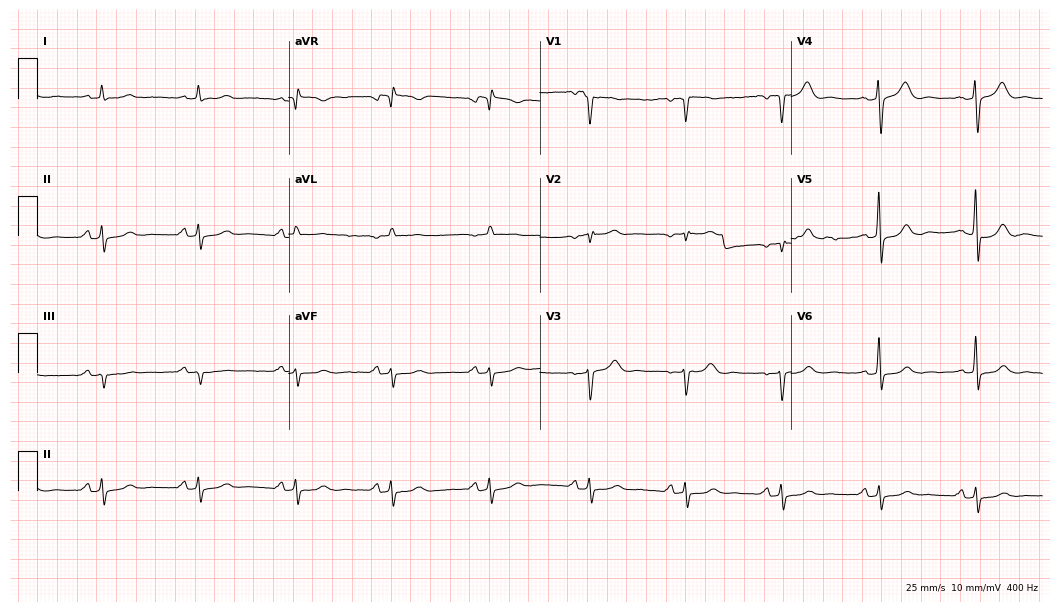
Standard 12-lead ECG recorded from a 50-year-old woman (10.2-second recording at 400 Hz). None of these six findings is recorded: first-degree AV block, right bundle branch block, left bundle branch block, sinus bradycardia, atrial fibrillation, sinus tachycardia.